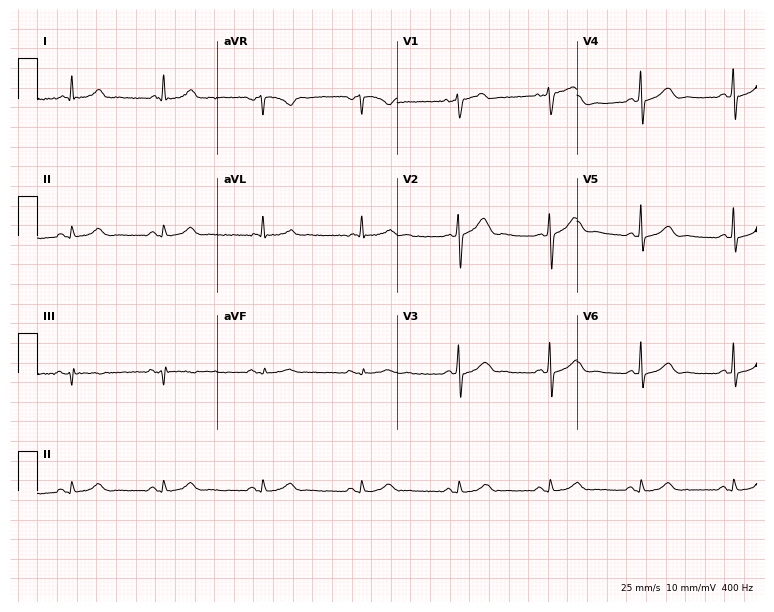
Electrocardiogram, a woman, 62 years old. Of the six screened findings (first-degree AV block, right bundle branch block (RBBB), left bundle branch block (LBBB), sinus bradycardia, atrial fibrillation (AF), sinus tachycardia), none is recorded.